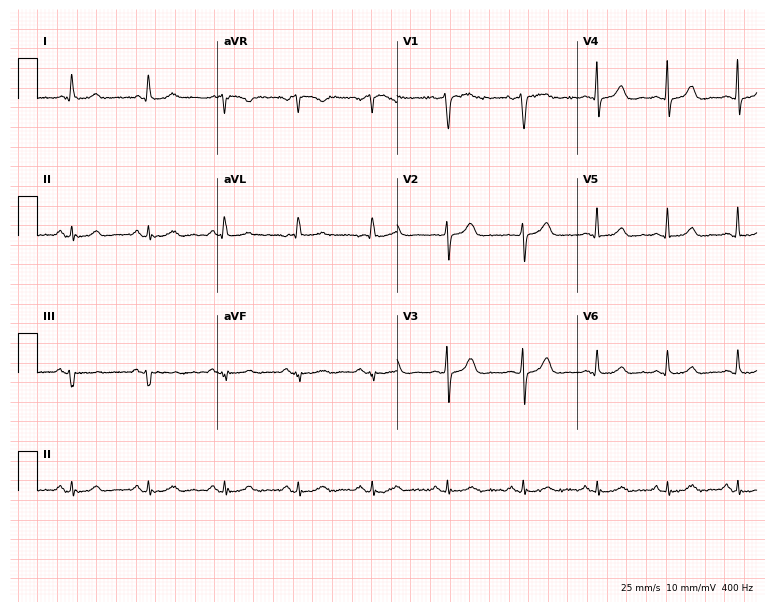
12-lead ECG from a female, 57 years old (7.3-second recording at 400 Hz). Recorded interpretation: within normal limits.